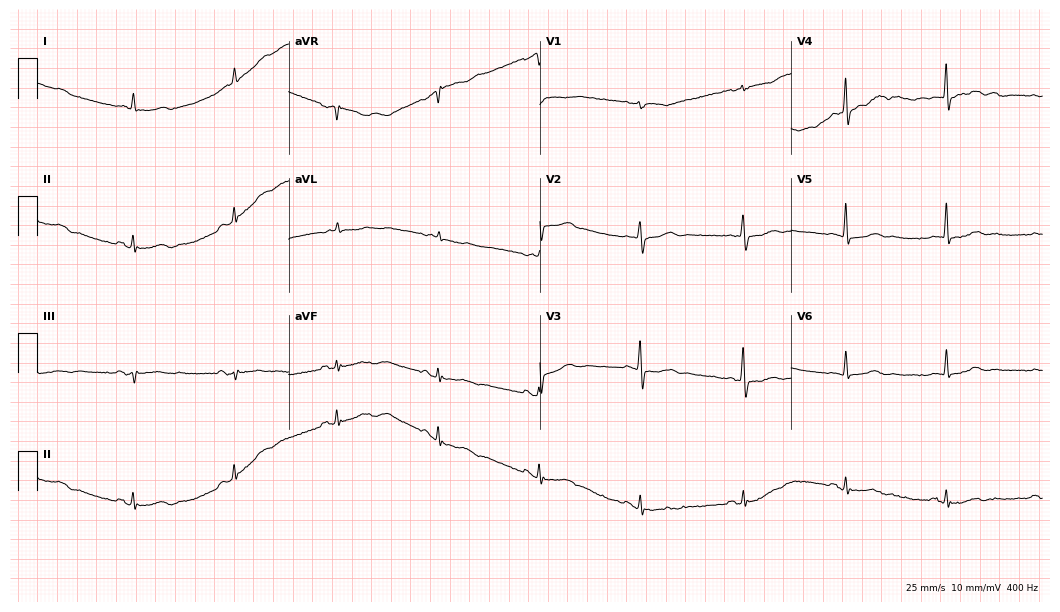
ECG (10.2-second recording at 400 Hz) — a 77-year-old male. Screened for six findings — first-degree AV block, right bundle branch block, left bundle branch block, sinus bradycardia, atrial fibrillation, sinus tachycardia — none is recorded. Only these six findings were labelled.